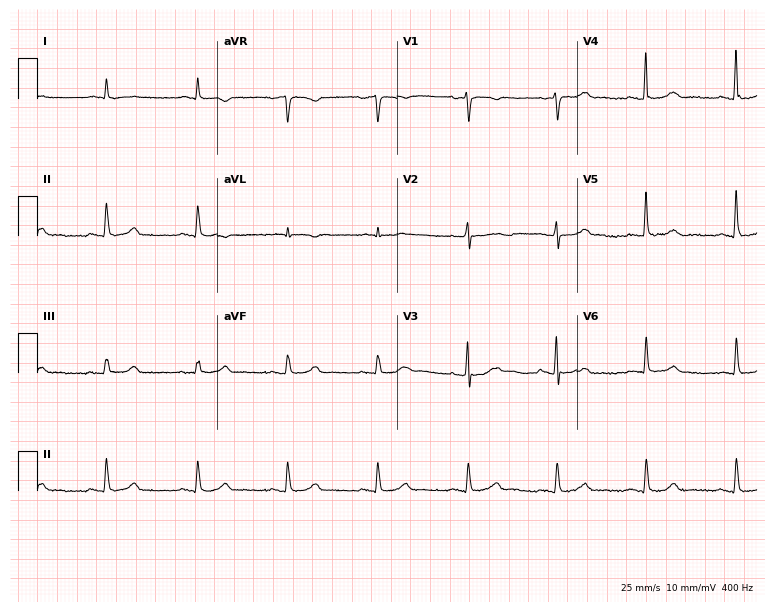
ECG (7.3-second recording at 400 Hz) — a male, 81 years old. Labelled as a normal ECG.